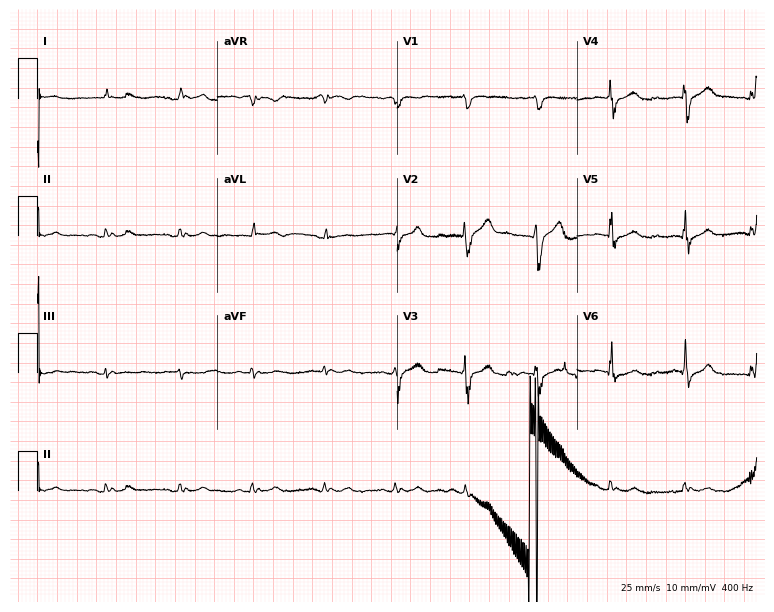
12-lead ECG from a 22-year-old male patient (7.3-second recording at 400 Hz). No first-degree AV block, right bundle branch block (RBBB), left bundle branch block (LBBB), sinus bradycardia, atrial fibrillation (AF) or sinus tachycardia recorded for this tracing.